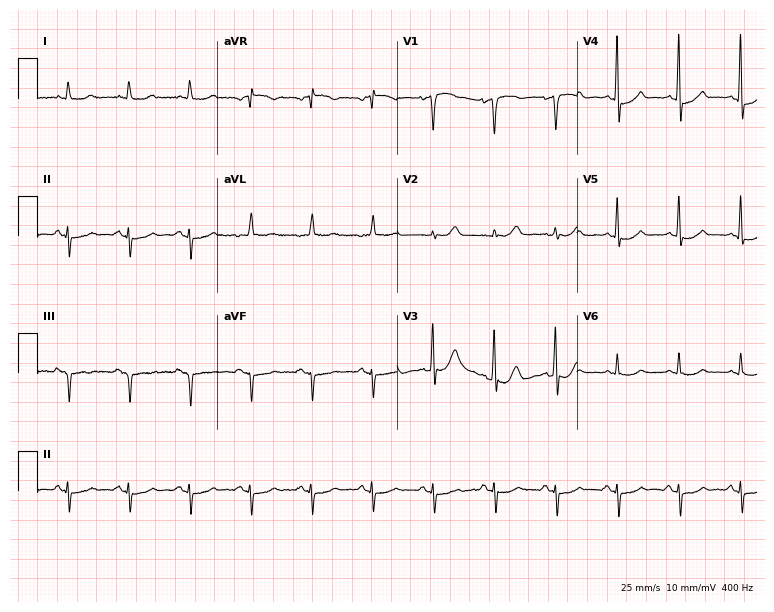
Standard 12-lead ECG recorded from an 80-year-old female patient (7.3-second recording at 400 Hz). Read as a normal ECG.